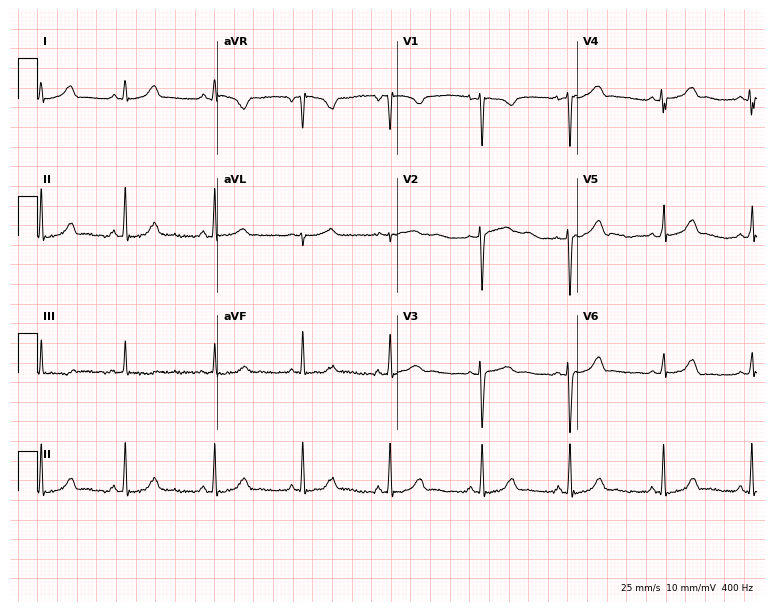
12-lead ECG (7.3-second recording at 400 Hz) from a 20-year-old female patient. Labelled as a normal ECG.